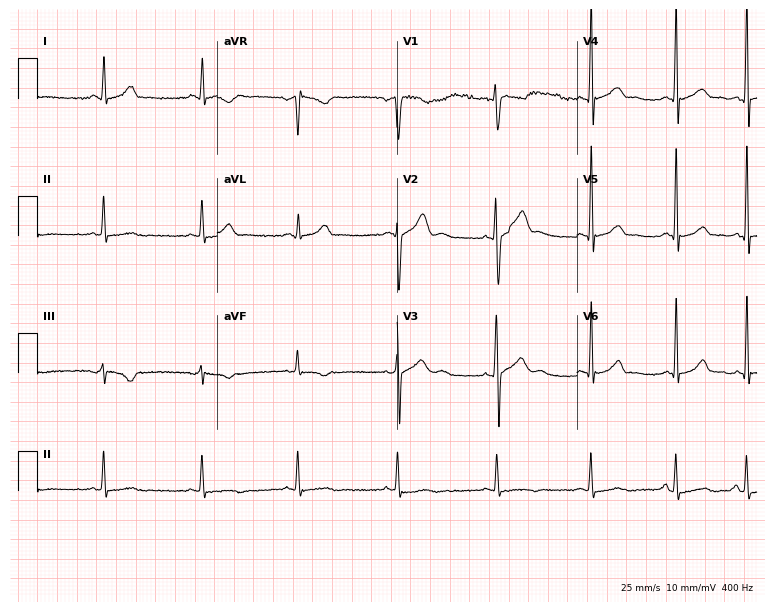
Resting 12-lead electrocardiogram. Patient: a 31-year-old male. Read as a normal ECG.